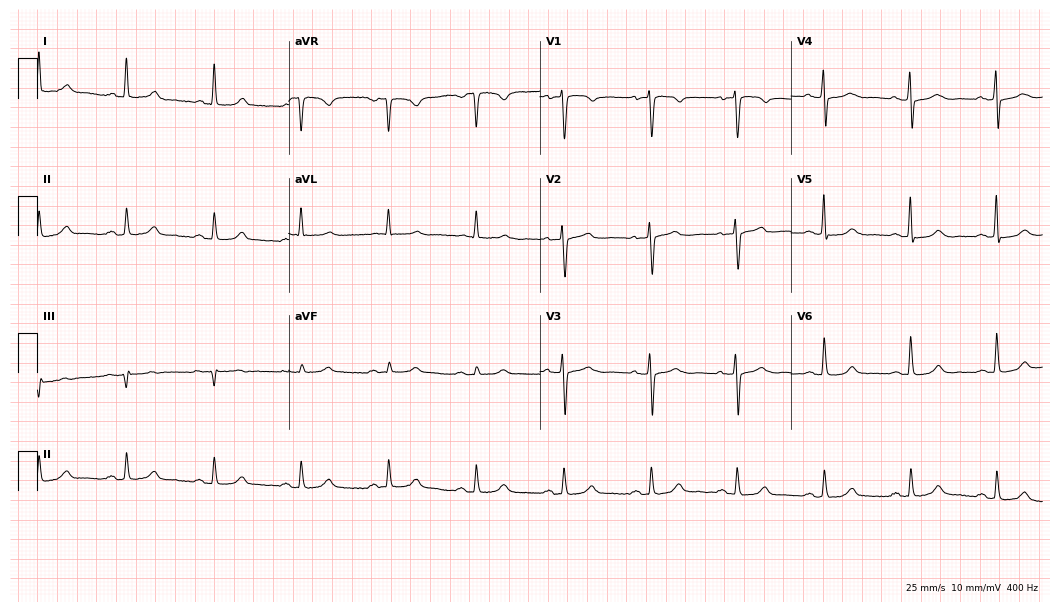
ECG (10.2-second recording at 400 Hz) — an 81-year-old female patient. Labelled as a normal ECG.